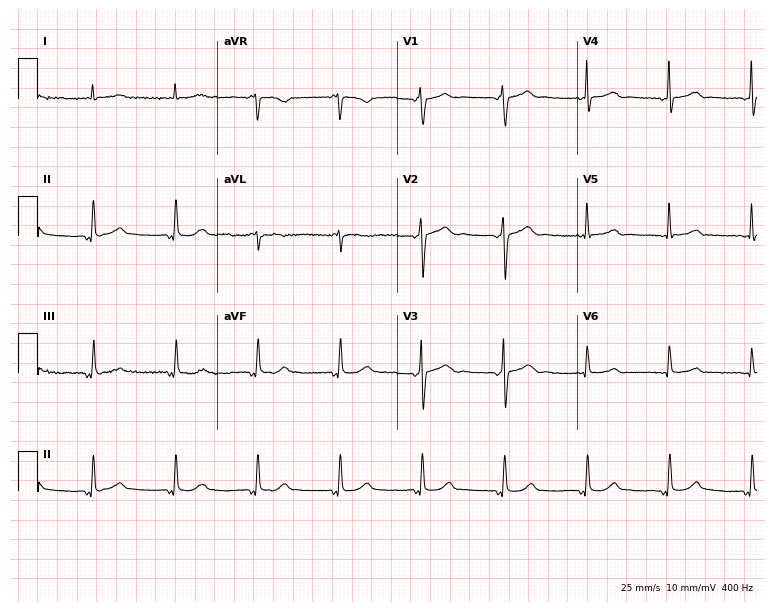
12-lead ECG from a 48-year-old male patient. No first-degree AV block, right bundle branch block, left bundle branch block, sinus bradycardia, atrial fibrillation or sinus tachycardia recorded for this tracing. Only these six findings were labelled.